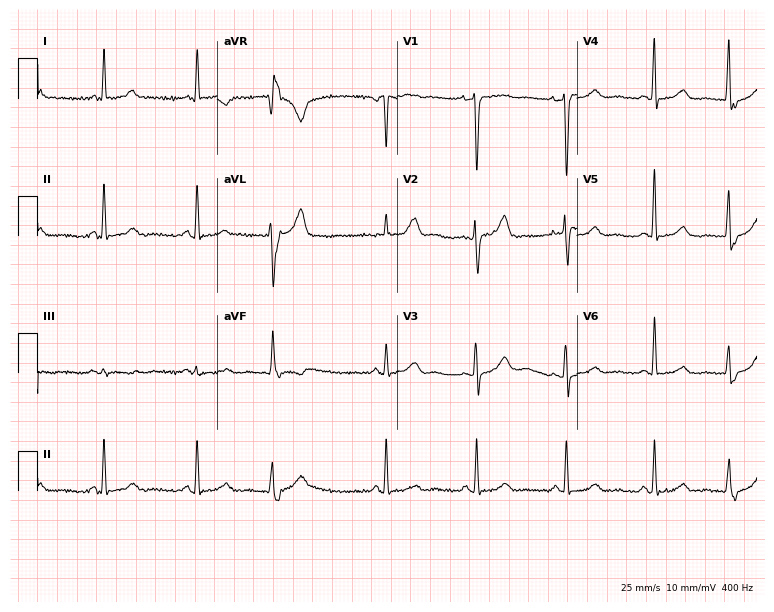
Resting 12-lead electrocardiogram. Patient: a female, 65 years old. None of these six findings is recorded: first-degree AV block, right bundle branch block, left bundle branch block, sinus bradycardia, atrial fibrillation, sinus tachycardia. Other findings, if any, are not listed.